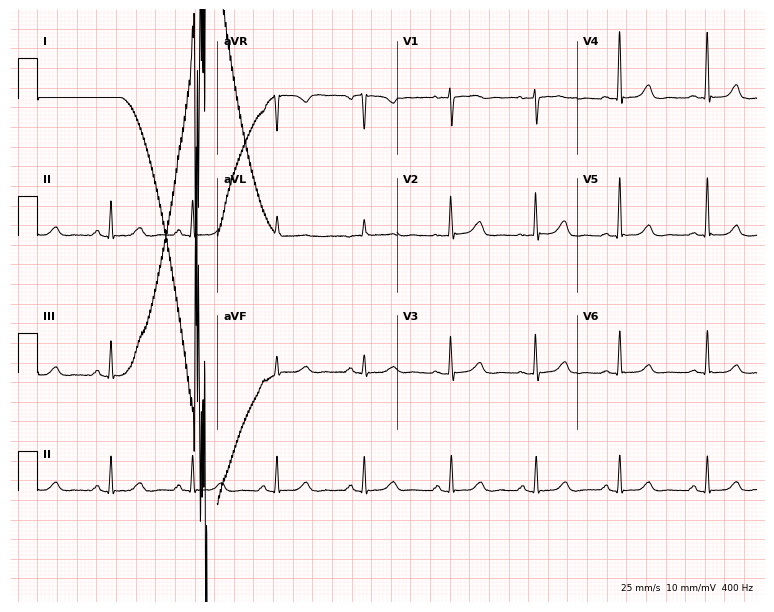
ECG (7.3-second recording at 400 Hz) — a female, 68 years old. Screened for six findings — first-degree AV block, right bundle branch block, left bundle branch block, sinus bradycardia, atrial fibrillation, sinus tachycardia — none is recorded.